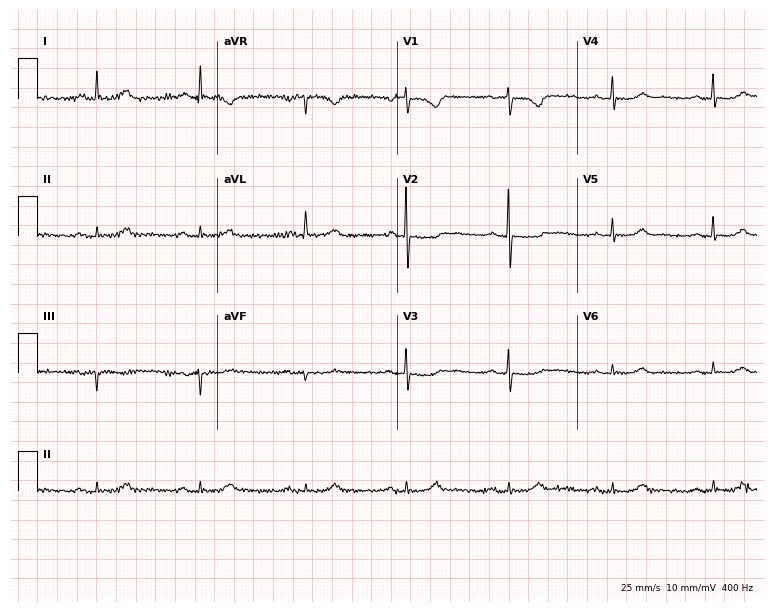
Electrocardiogram (7.3-second recording at 400 Hz), a woman, 75 years old. Overall reading on record: normal ECG.